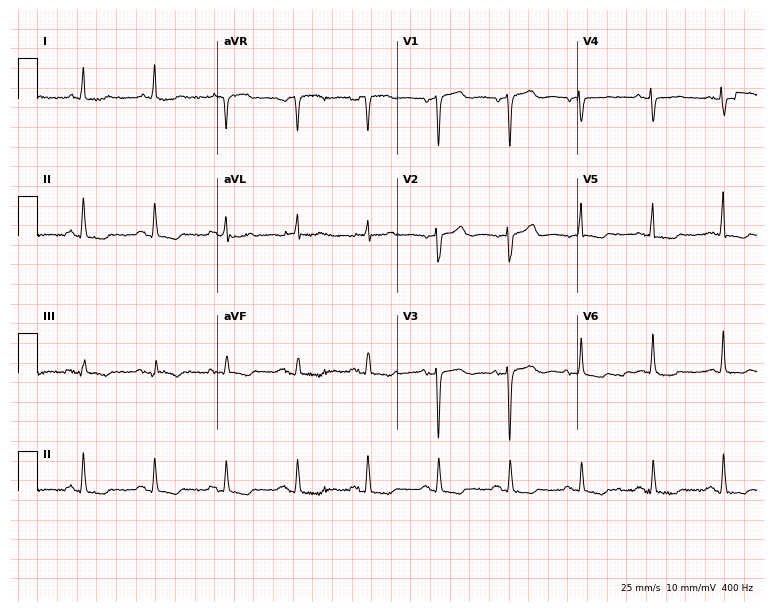
Standard 12-lead ECG recorded from an 82-year-old female (7.3-second recording at 400 Hz). None of these six findings is recorded: first-degree AV block, right bundle branch block (RBBB), left bundle branch block (LBBB), sinus bradycardia, atrial fibrillation (AF), sinus tachycardia.